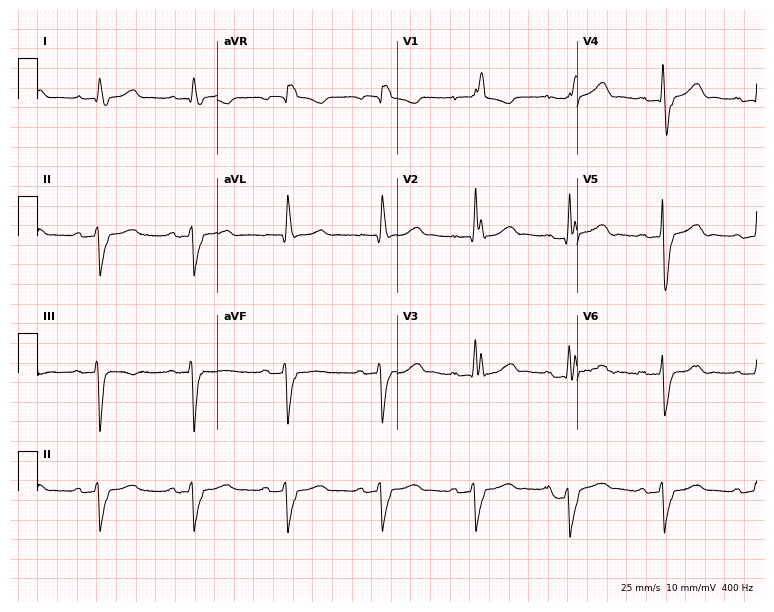
Resting 12-lead electrocardiogram. Patient: a male, 78 years old. The tracing shows first-degree AV block, right bundle branch block.